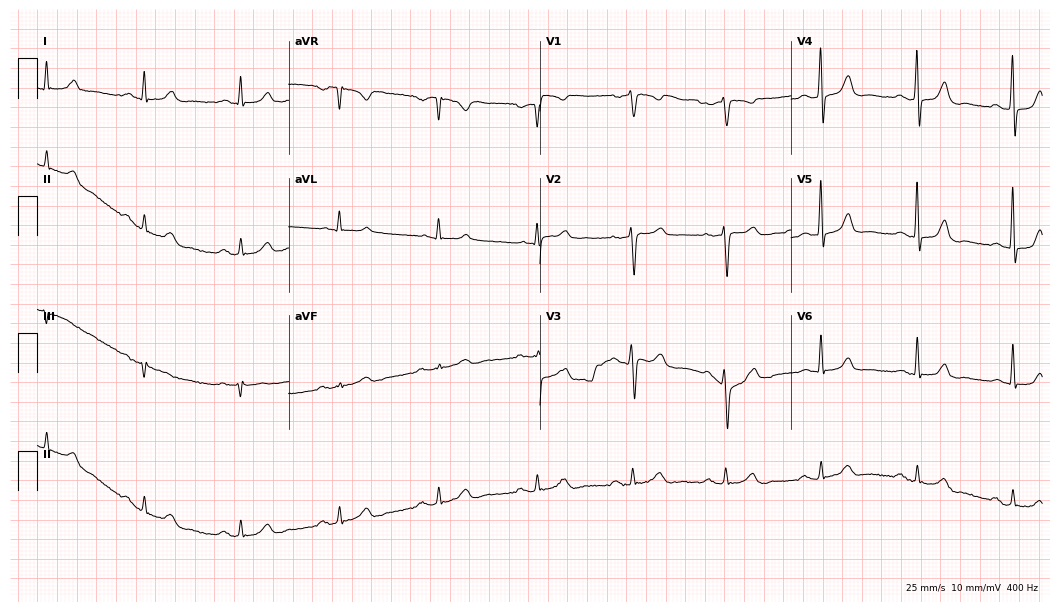
12-lead ECG from a man, 71 years old. Labelled as a normal ECG.